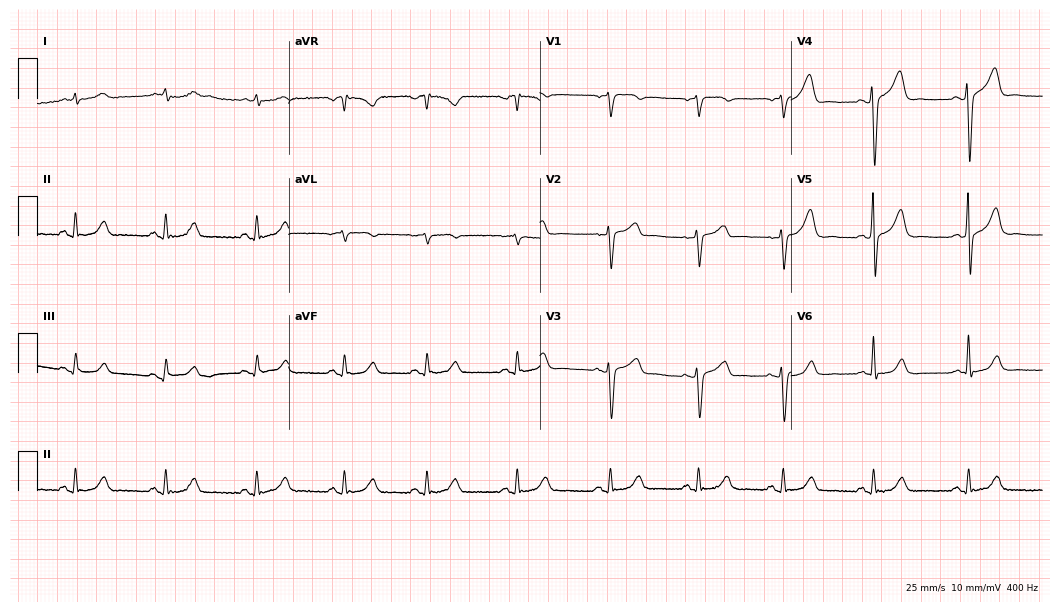
ECG (10.2-second recording at 400 Hz) — a 75-year-old male patient. Labelled as a normal ECG.